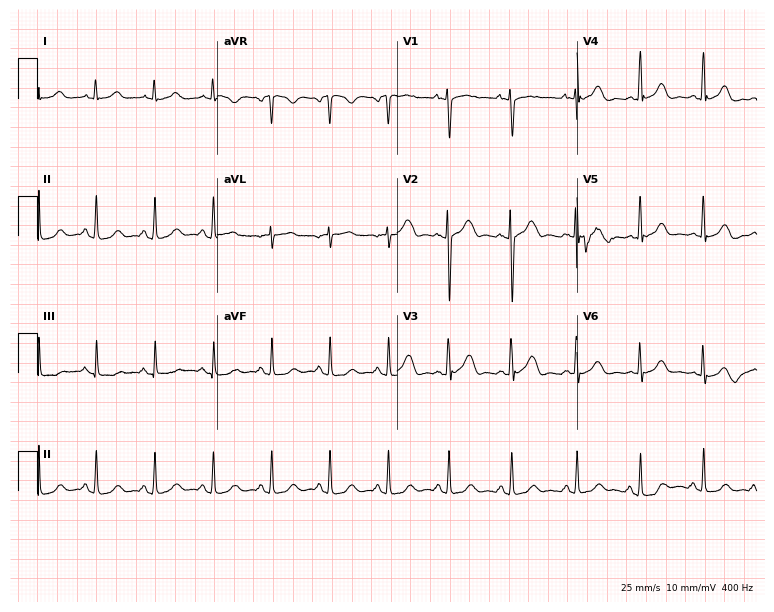
ECG — a 35-year-old female. Screened for six findings — first-degree AV block, right bundle branch block, left bundle branch block, sinus bradycardia, atrial fibrillation, sinus tachycardia — none is recorded. Findings outside these six are not listed.